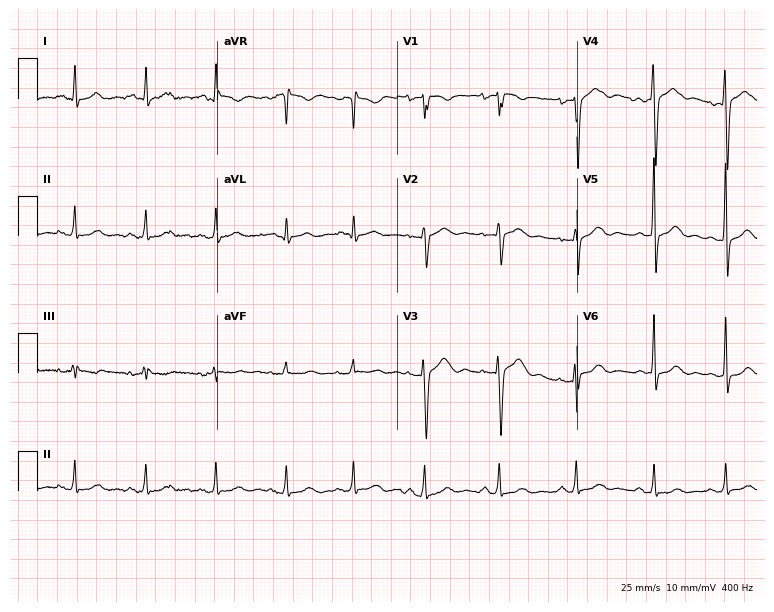
ECG — a woman, 27 years old. Labelled as a normal ECG.